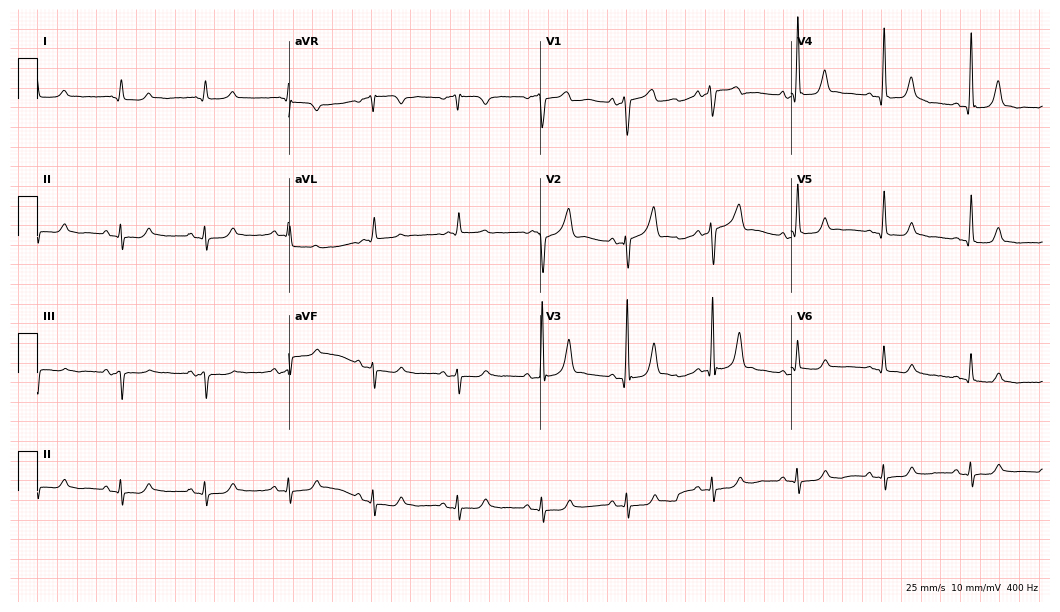
Standard 12-lead ECG recorded from a 75-year-old male. None of these six findings is recorded: first-degree AV block, right bundle branch block, left bundle branch block, sinus bradycardia, atrial fibrillation, sinus tachycardia.